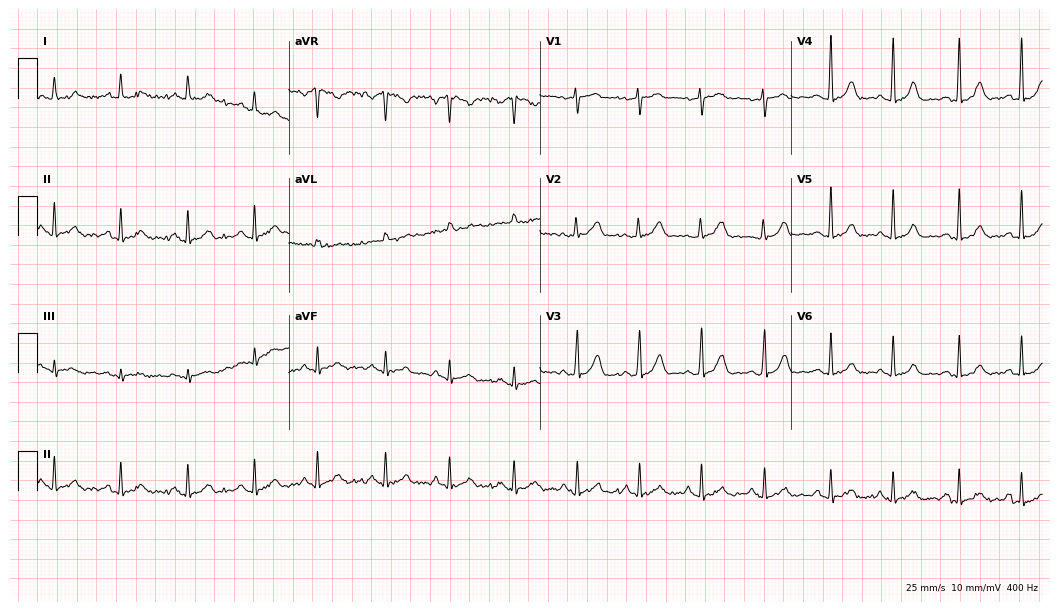
Resting 12-lead electrocardiogram. Patient: a 40-year-old woman. Read as a normal ECG.